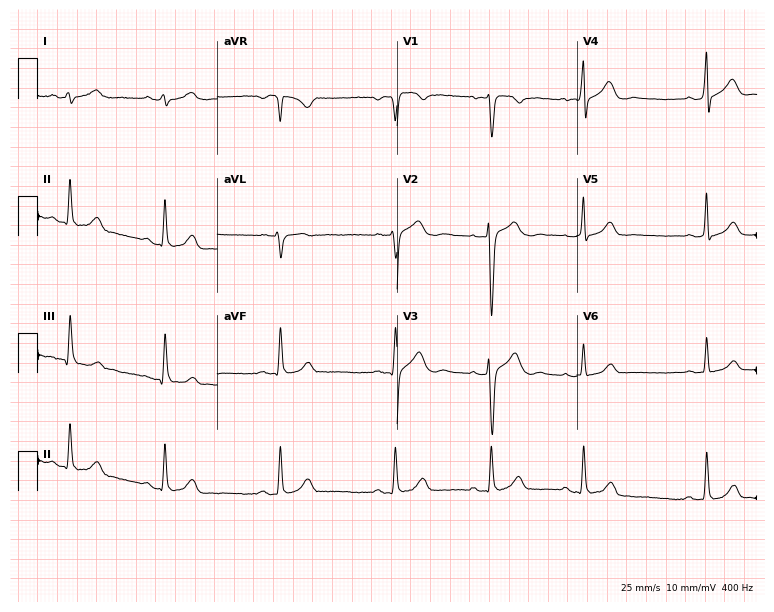
12-lead ECG from a male, 23 years old (7.3-second recording at 400 Hz). No first-degree AV block, right bundle branch block, left bundle branch block, sinus bradycardia, atrial fibrillation or sinus tachycardia recorded for this tracing. Only these six findings were labelled.